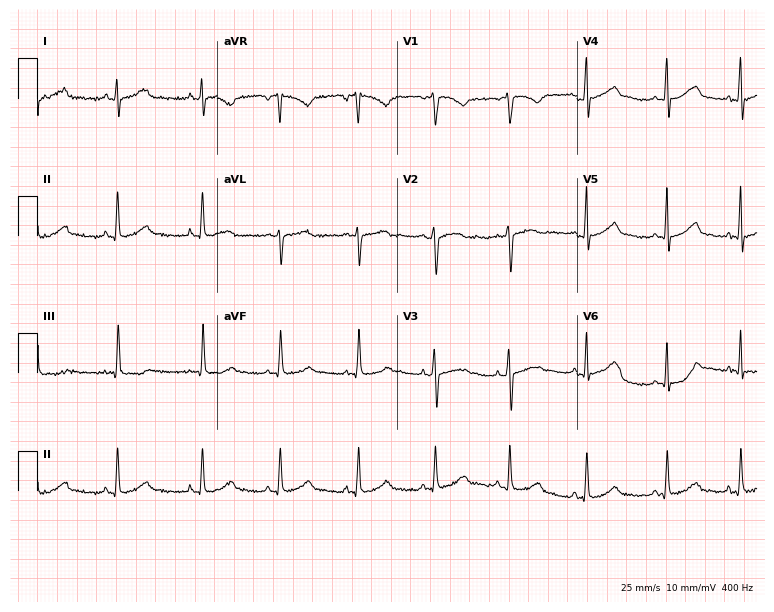
Electrocardiogram, a 21-year-old female. Overall reading on record: normal ECG.